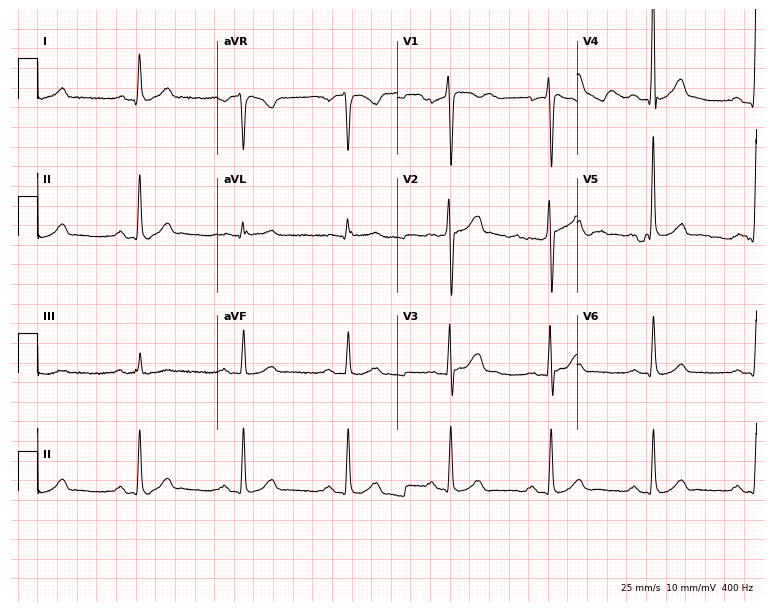
Electrocardiogram, a male patient, 48 years old. Overall reading on record: normal ECG.